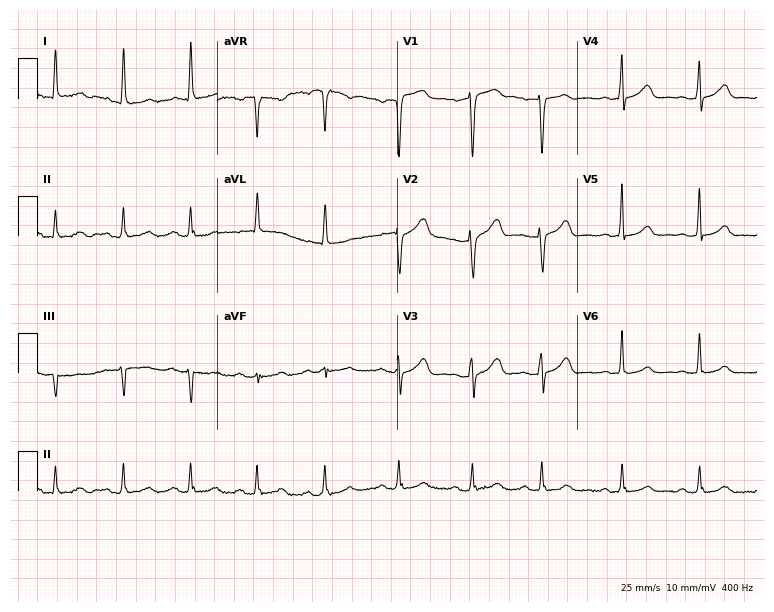
Electrocardiogram (7.3-second recording at 400 Hz), a 54-year-old woman. Of the six screened findings (first-degree AV block, right bundle branch block, left bundle branch block, sinus bradycardia, atrial fibrillation, sinus tachycardia), none is recorded. Only these six findings were labelled.